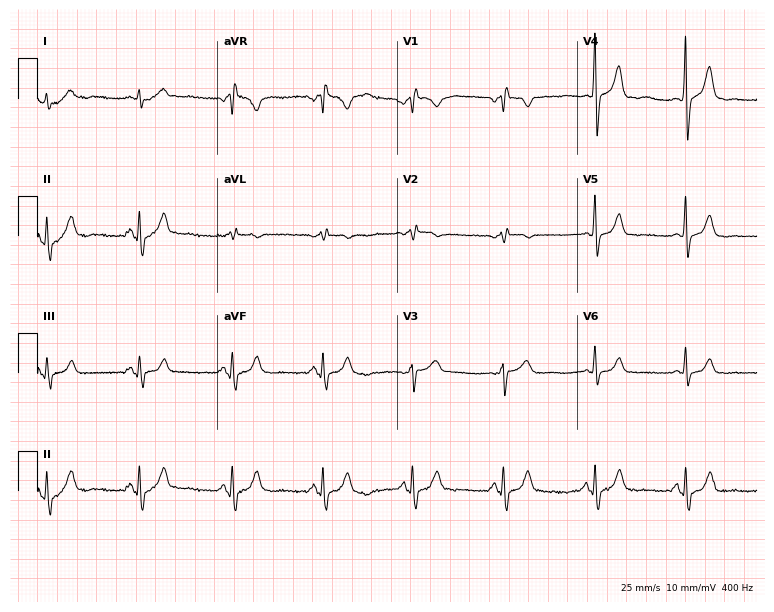
12-lead ECG from a man, 57 years old. Screened for six findings — first-degree AV block, right bundle branch block, left bundle branch block, sinus bradycardia, atrial fibrillation, sinus tachycardia — none is recorded.